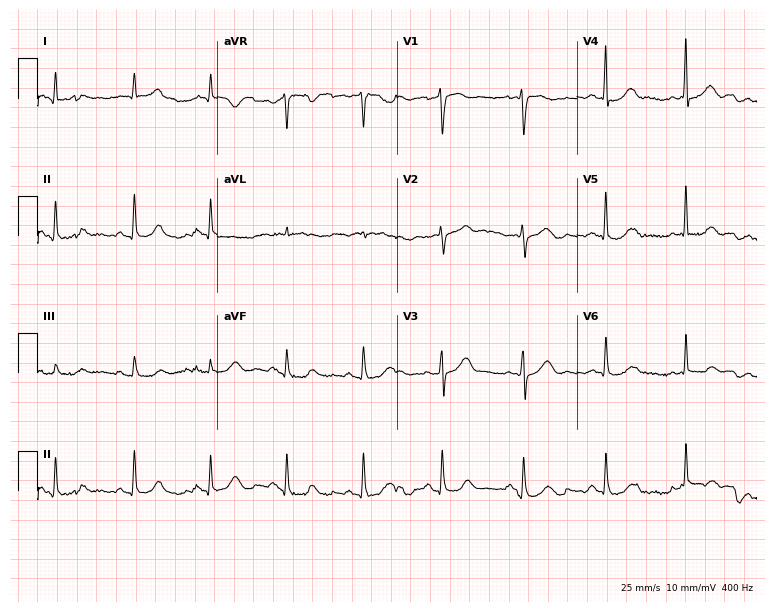
12-lead ECG from a male, 73 years old (7.3-second recording at 400 Hz). Recorded interpretation: within normal limits.